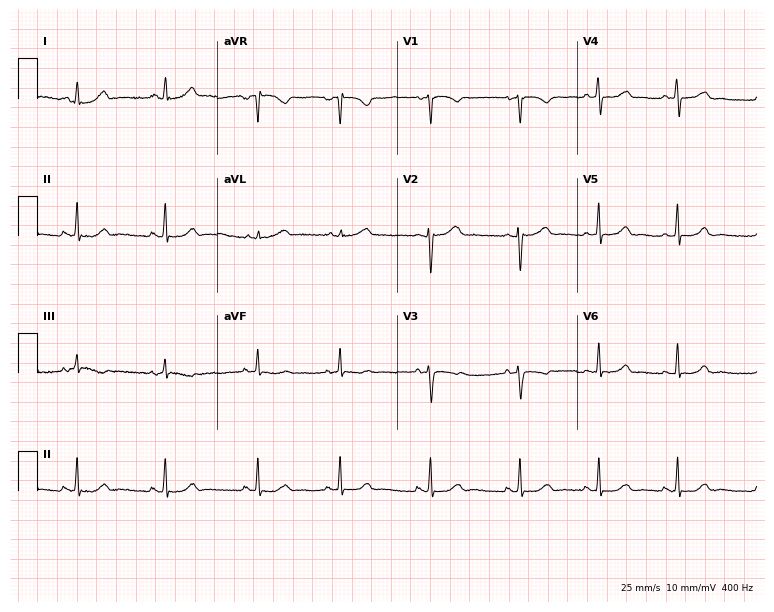
12-lead ECG from a 22-year-old woman. Labelled as a normal ECG.